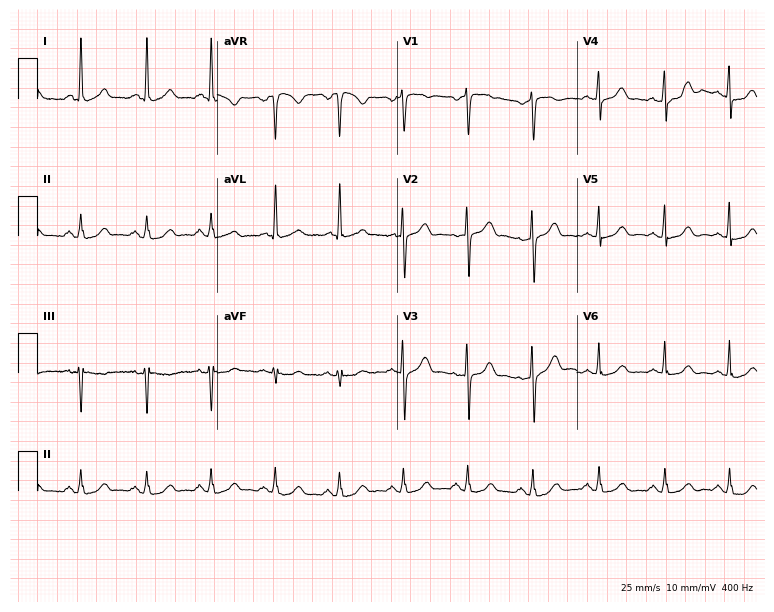
Resting 12-lead electrocardiogram. Patient: a 71-year-old woman. Read as a normal ECG.